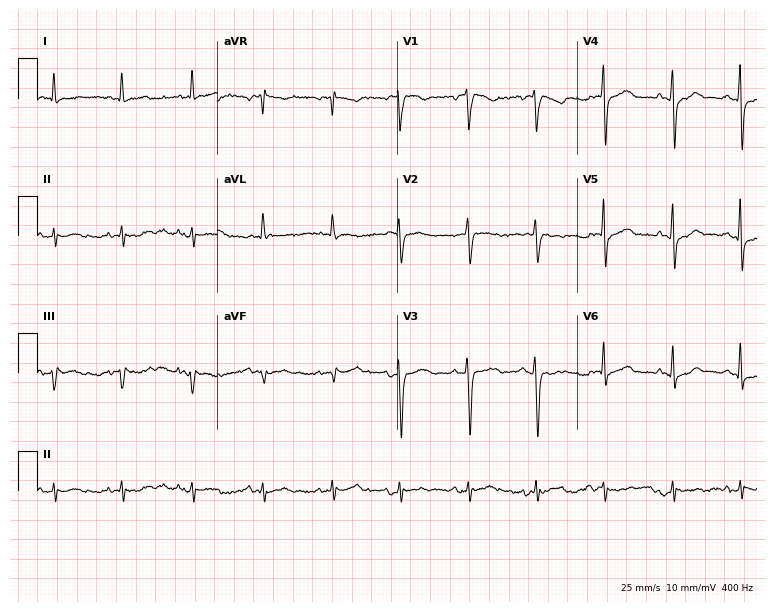
Electrocardiogram (7.3-second recording at 400 Hz), a woman, 54 years old. Of the six screened findings (first-degree AV block, right bundle branch block, left bundle branch block, sinus bradycardia, atrial fibrillation, sinus tachycardia), none is recorded.